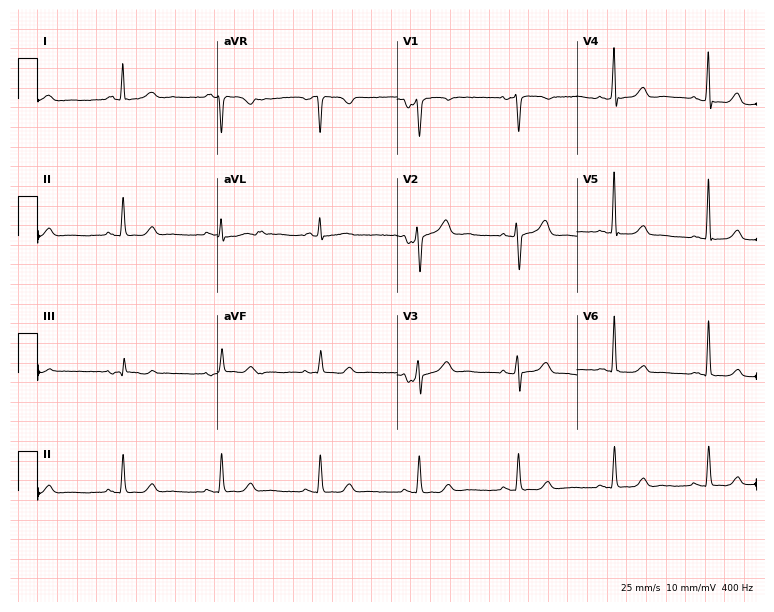
12-lead ECG from a female patient, 51 years old. Screened for six findings — first-degree AV block, right bundle branch block, left bundle branch block, sinus bradycardia, atrial fibrillation, sinus tachycardia — none is recorded. Other findings, if any, are not listed.